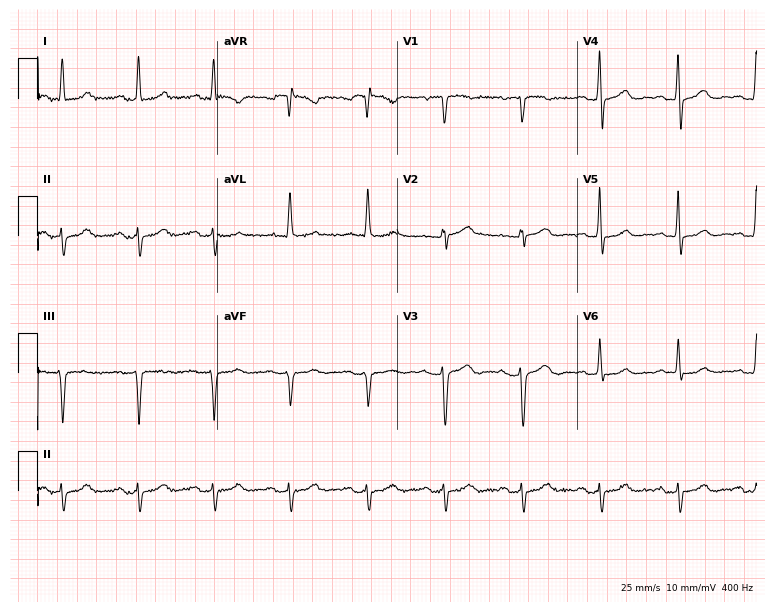
12-lead ECG (7.3-second recording at 400 Hz) from a 78-year-old male. Screened for six findings — first-degree AV block, right bundle branch block, left bundle branch block, sinus bradycardia, atrial fibrillation, sinus tachycardia — none is recorded.